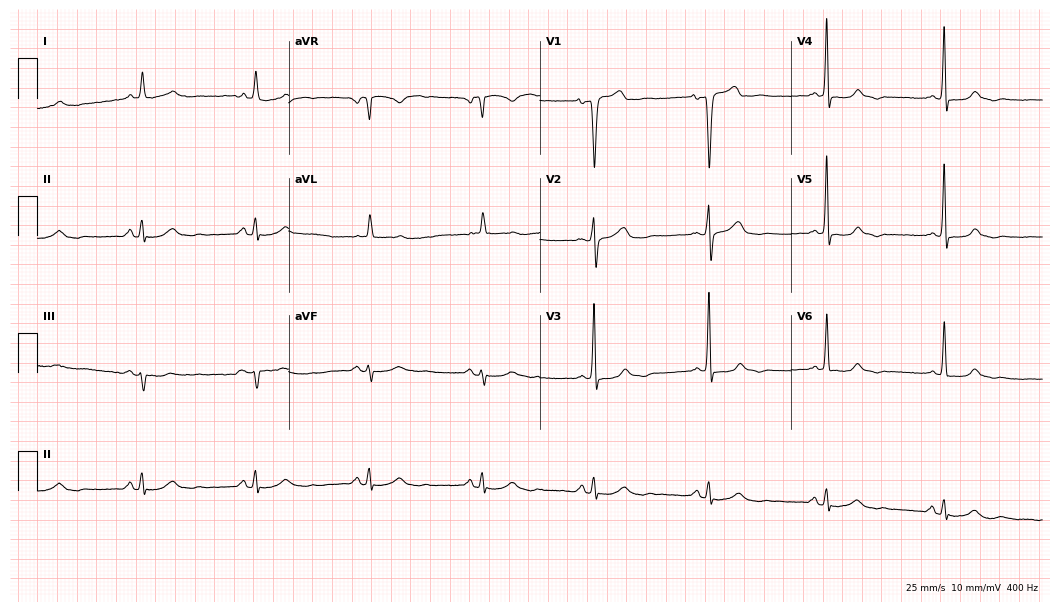
ECG — a man, 69 years old. Screened for six findings — first-degree AV block, right bundle branch block, left bundle branch block, sinus bradycardia, atrial fibrillation, sinus tachycardia — none is recorded.